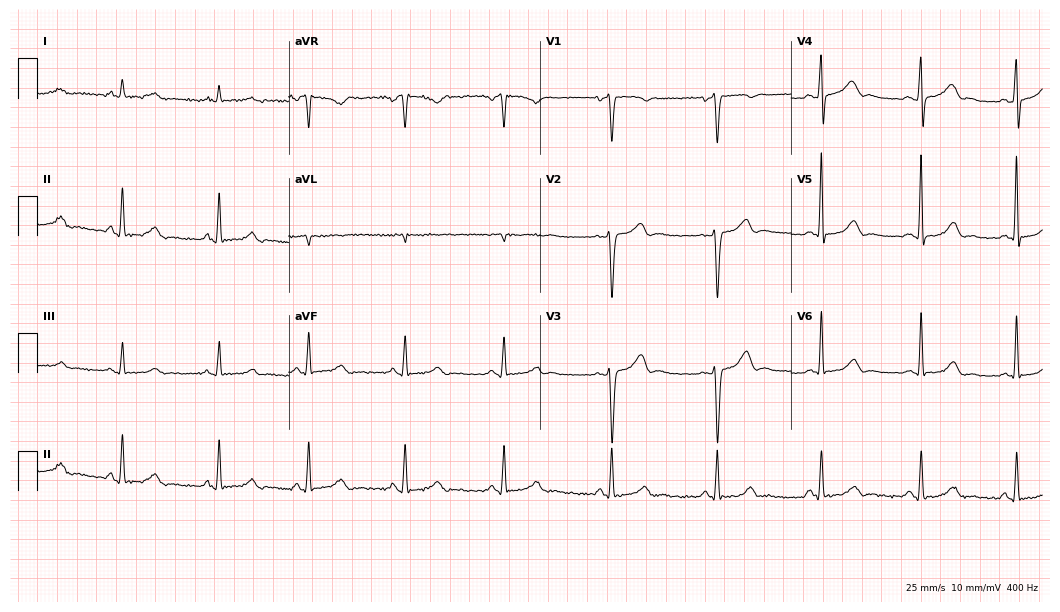
Electrocardiogram (10.2-second recording at 400 Hz), a 41-year-old male patient. Overall reading on record: normal ECG.